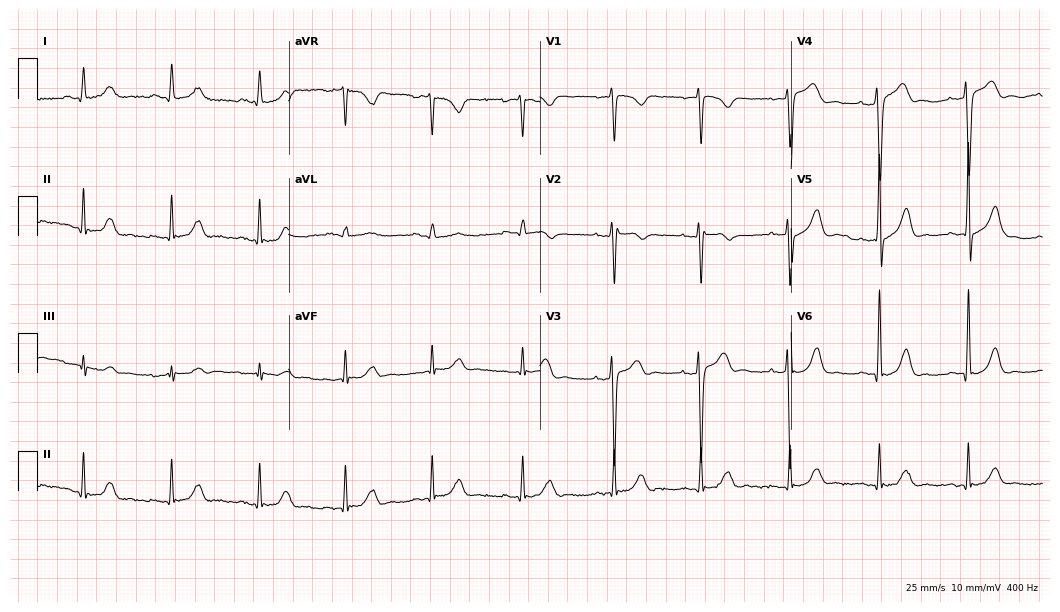
12-lead ECG (10.2-second recording at 400 Hz) from a 40-year-old male patient. Labelled as a normal ECG.